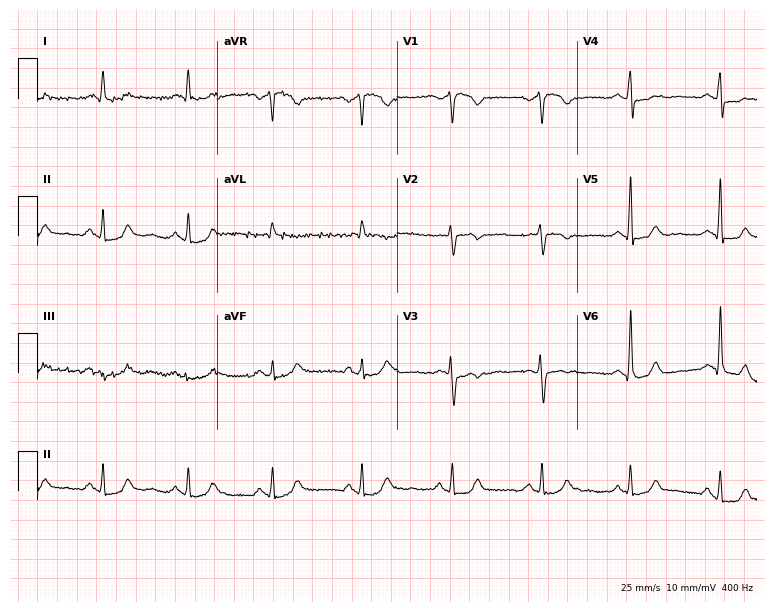
12-lead ECG from a 52-year-old female patient. Labelled as a normal ECG.